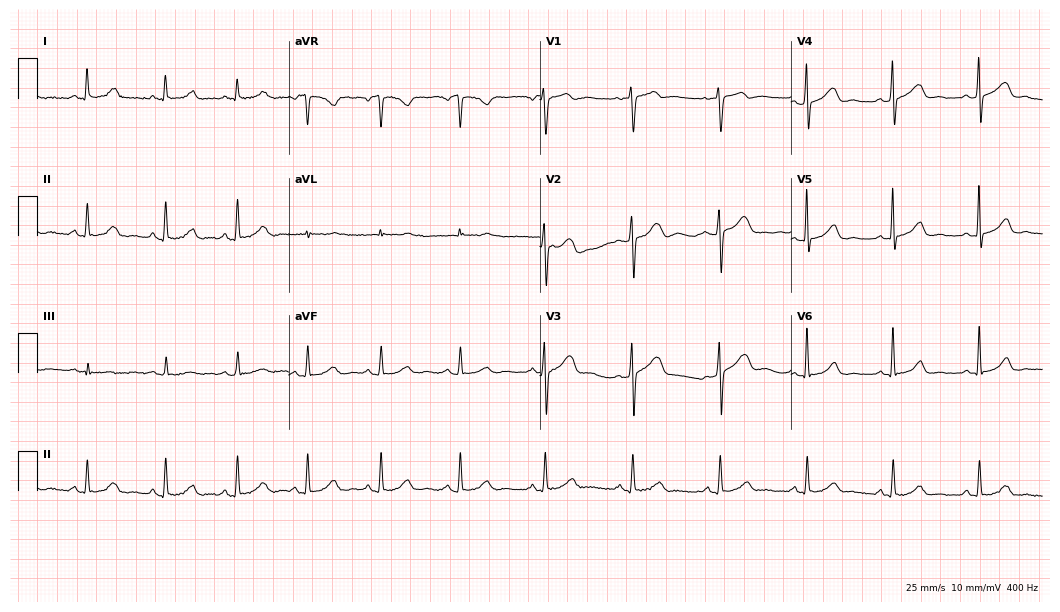
Resting 12-lead electrocardiogram (10.2-second recording at 400 Hz). Patient: a woman, 42 years old. None of these six findings is recorded: first-degree AV block, right bundle branch block (RBBB), left bundle branch block (LBBB), sinus bradycardia, atrial fibrillation (AF), sinus tachycardia. Other findings, if any, are not listed.